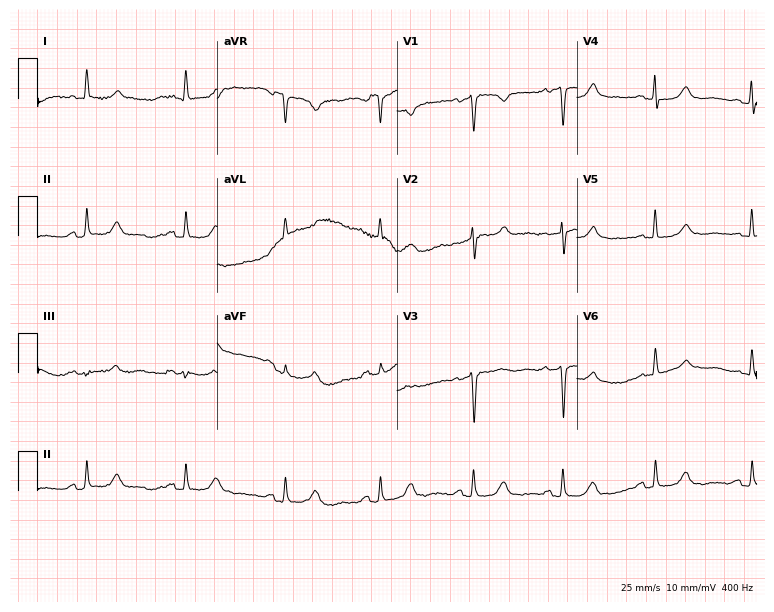
Resting 12-lead electrocardiogram (7.3-second recording at 400 Hz). Patient: a woman, 81 years old. None of these six findings is recorded: first-degree AV block, right bundle branch block (RBBB), left bundle branch block (LBBB), sinus bradycardia, atrial fibrillation (AF), sinus tachycardia.